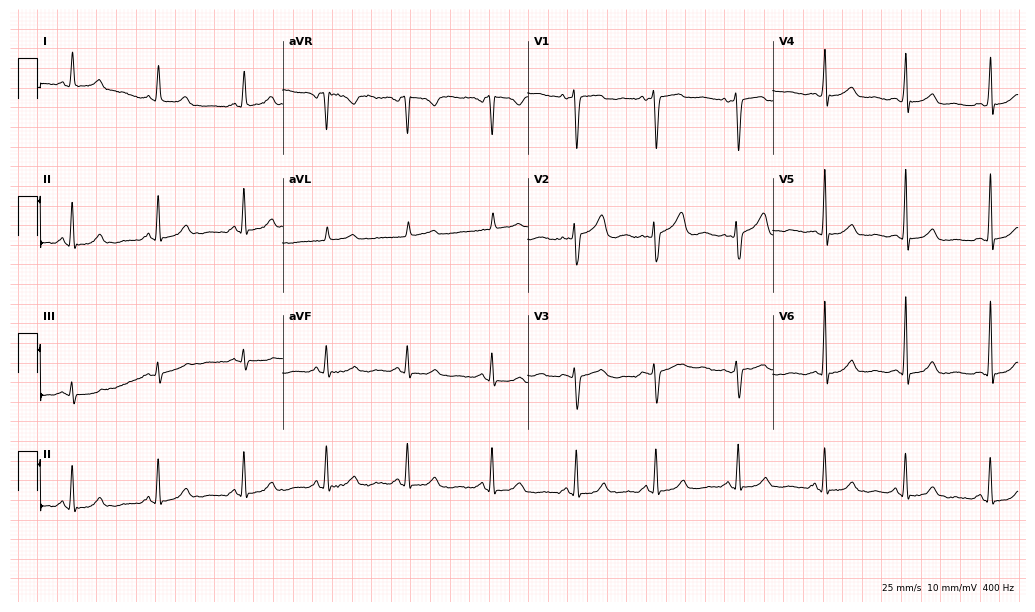
12-lead ECG from a 35-year-old female. Recorded interpretation: within normal limits.